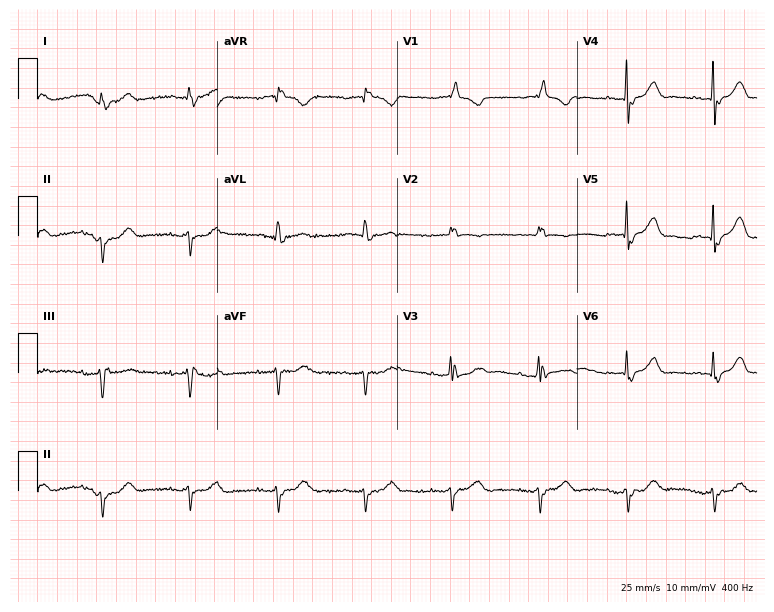
ECG (7.3-second recording at 400 Hz) — an 85-year-old male patient. Findings include right bundle branch block.